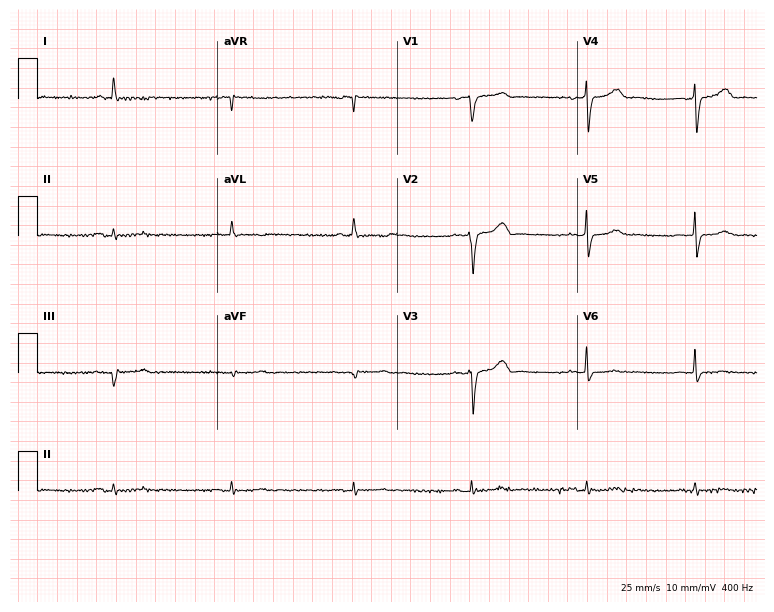
12-lead ECG from a female patient, 75 years old. Labelled as a normal ECG.